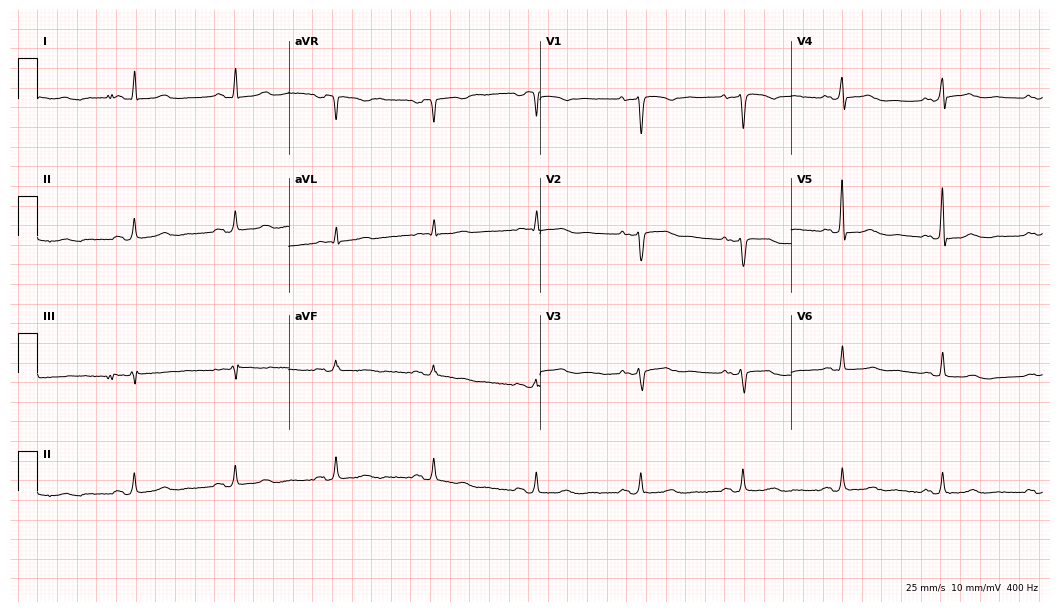
Standard 12-lead ECG recorded from a female, 77 years old. None of these six findings is recorded: first-degree AV block, right bundle branch block (RBBB), left bundle branch block (LBBB), sinus bradycardia, atrial fibrillation (AF), sinus tachycardia.